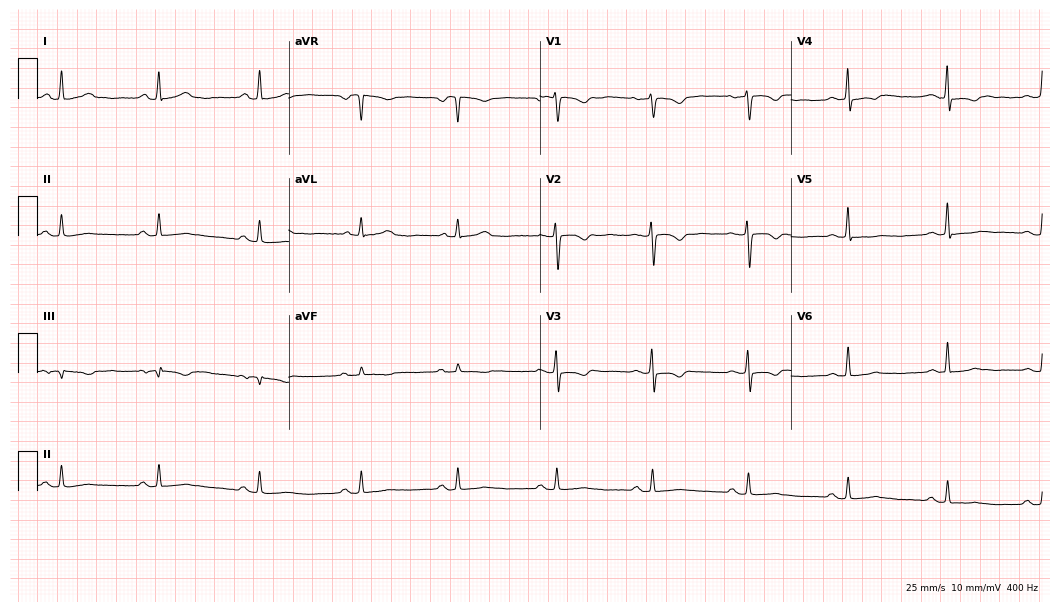
Resting 12-lead electrocardiogram (10.2-second recording at 400 Hz). Patient: a female, 52 years old. None of these six findings is recorded: first-degree AV block, right bundle branch block, left bundle branch block, sinus bradycardia, atrial fibrillation, sinus tachycardia.